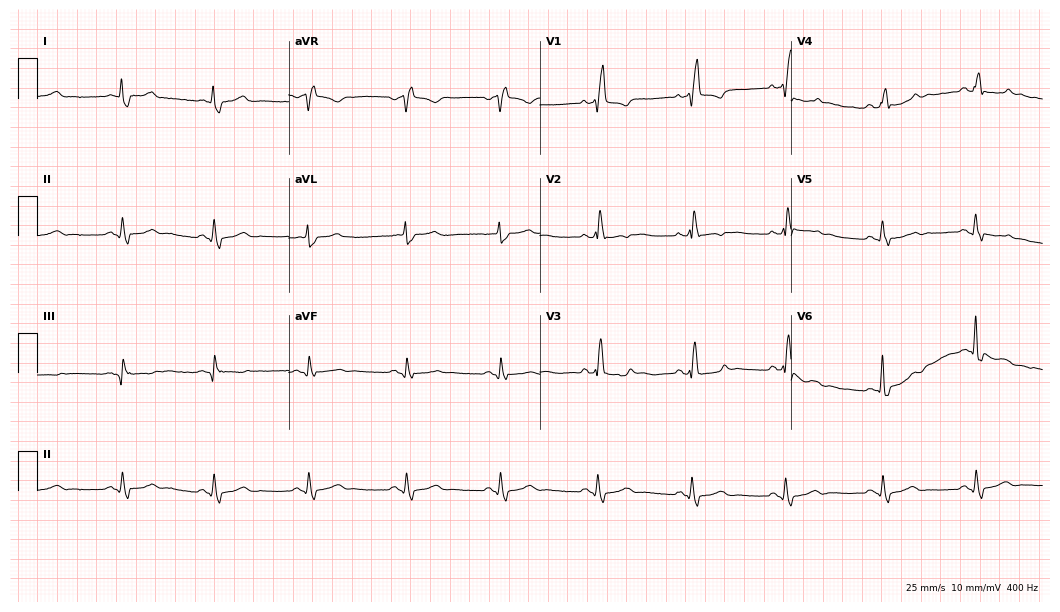
12-lead ECG (10.2-second recording at 400 Hz) from a male, 67 years old. Findings include right bundle branch block (RBBB).